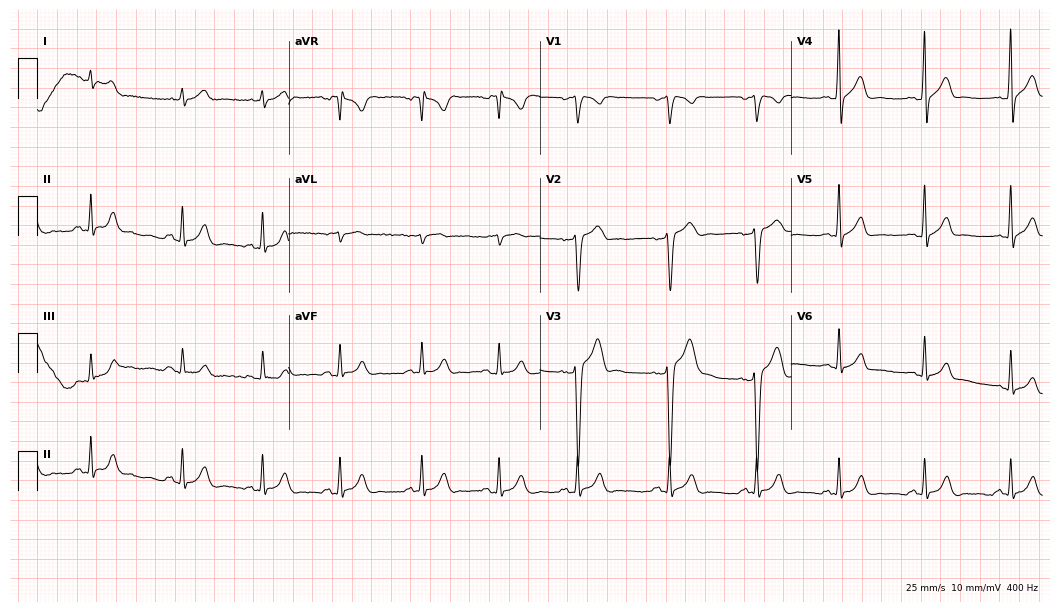
ECG (10.2-second recording at 400 Hz) — a 25-year-old male patient. Labelled as a normal ECG.